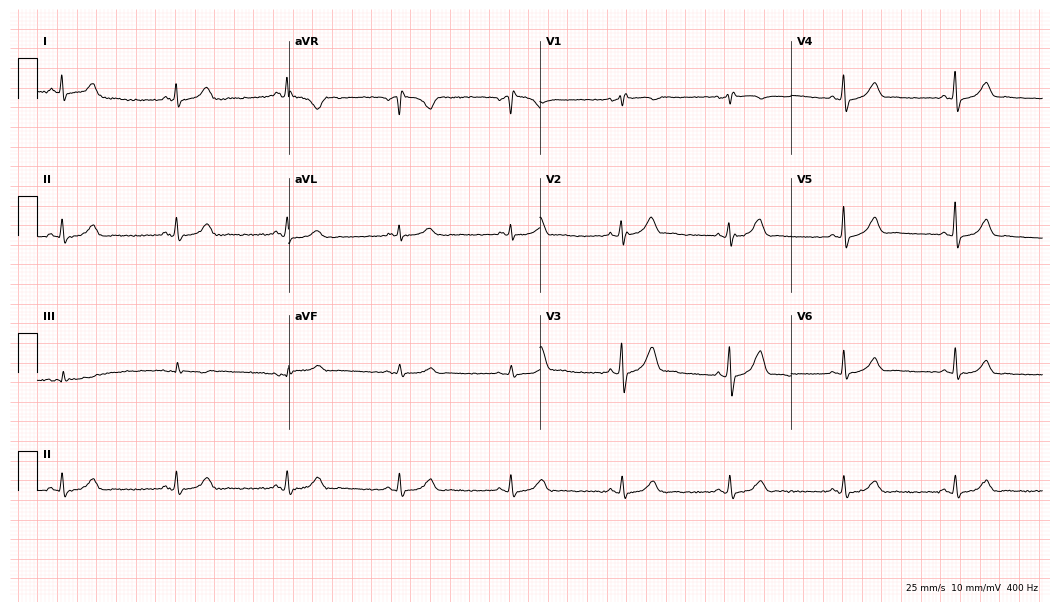
Standard 12-lead ECG recorded from a male, 49 years old. Read as a normal ECG.